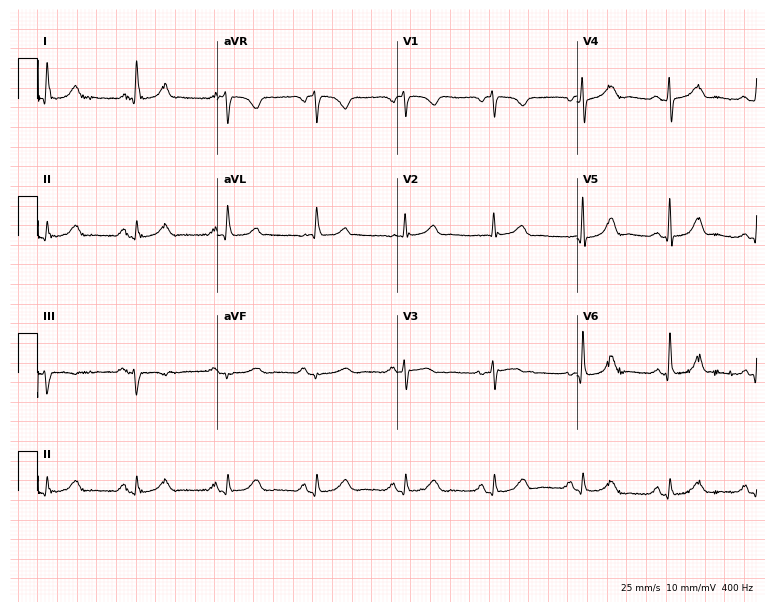
Electrocardiogram, a woman, 58 years old. Of the six screened findings (first-degree AV block, right bundle branch block, left bundle branch block, sinus bradycardia, atrial fibrillation, sinus tachycardia), none is recorded. Findings outside these six are not listed.